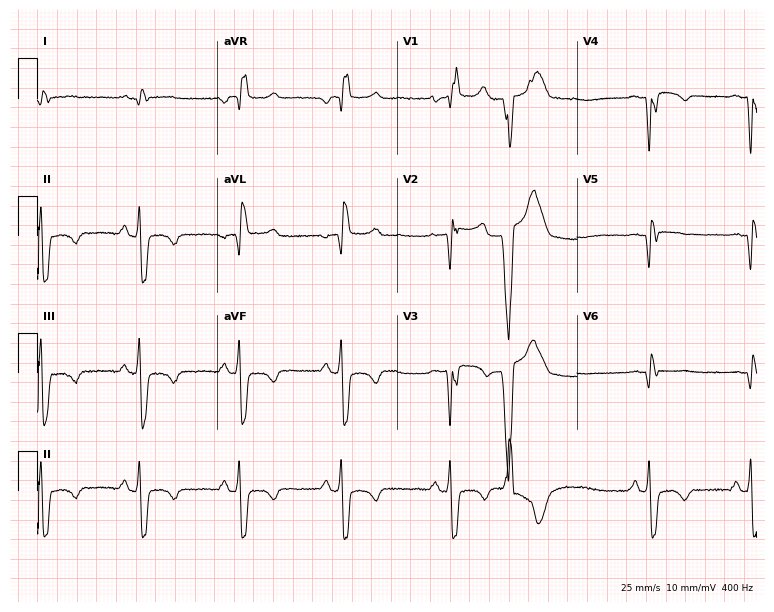
Standard 12-lead ECG recorded from a man, 53 years old (7.3-second recording at 400 Hz). The tracing shows right bundle branch block.